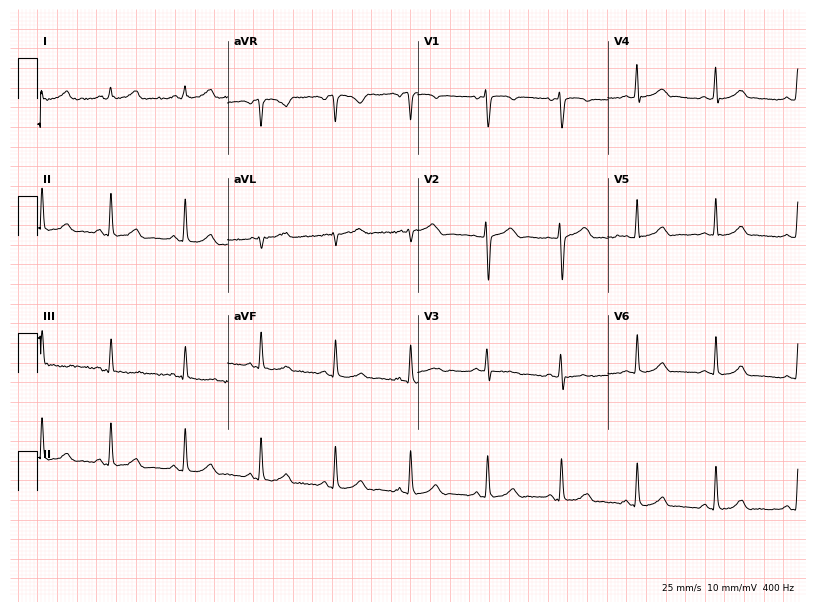
Resting 12-lead electrocardiogram. Patient: a female, 22 years old. Read as a normal ECG.